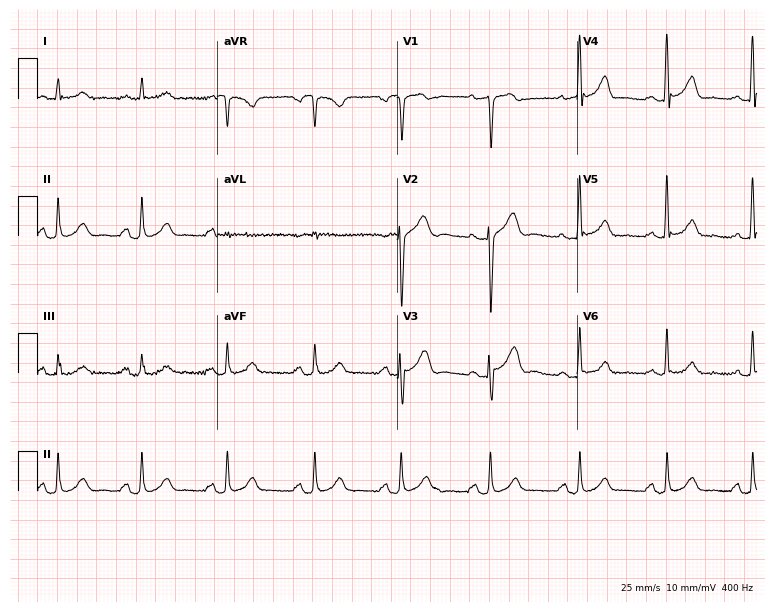
Resting 12-lead electrocardiogram (7.3-second recording at 400 Hz). Patient: a 65-year-old male. None of these six findings is recorded: first-degree AV block, right bundle branch block, left bundle branch block, sinus bradycardia, atrial fibrillation, sinus tachycardia.